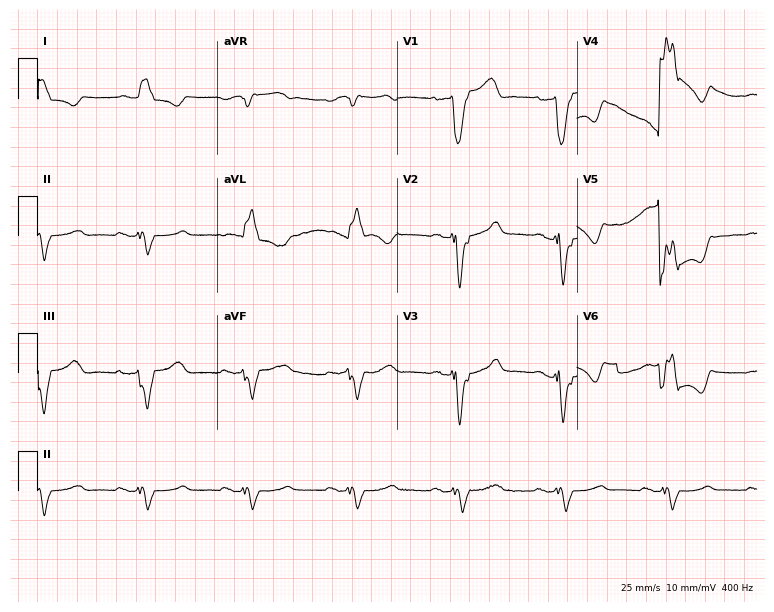
Resting 12-lead electrocardiogram. Patient: an 81-year-old male. None of these six findings is recorded: first-degree AV block, right bundle branch block, left bundle branch block, sinus bradycardia, atrial fibrillation, sinus tachycardia.